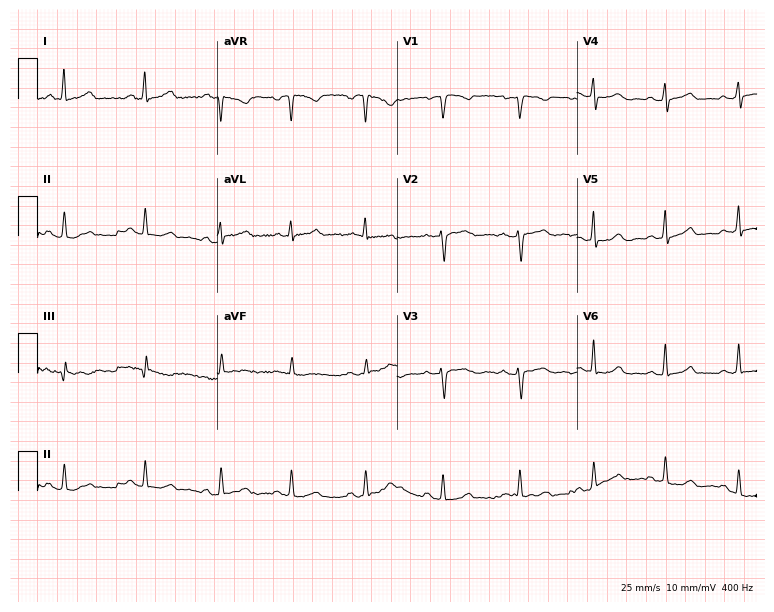
Resting 12-lead electrocardiogram (7.3-second recording at 400 Hz). Patient: a 42-year-old woman. None of these six findings is recorded: first-degree AV block, right bundle branch block (RBBB), left bundle branch block (LBBB), sinus bradycardia, atrial fibrillation (AF), sinus tachycardia. Findings outside these six are not listed.